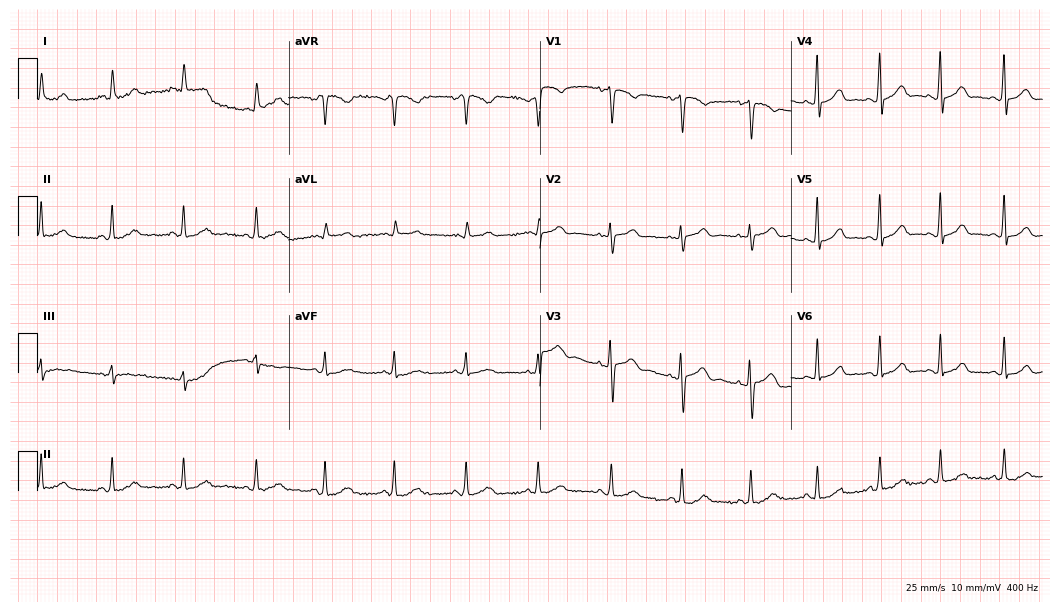
Resting 12-lead electrocardiogram. Patient: a woman, 22 years old. None of these six findings is recorded: first-degree AV block, right bundle branch block, left bundle branch block, sinus bradycardia, atrial fibrillation, sinus tachycardia. Findings outside these six are not listed.